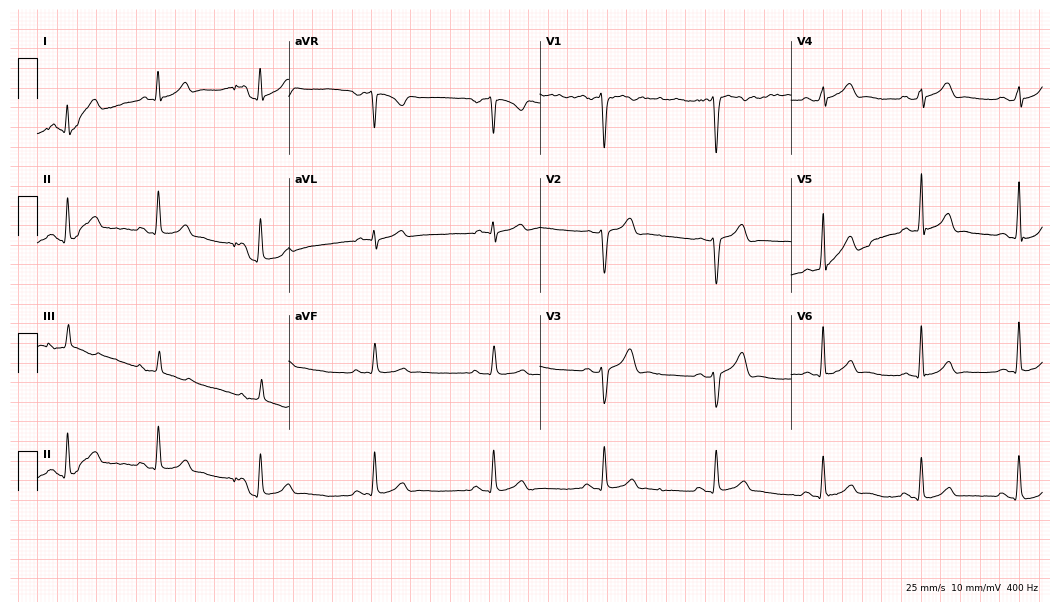
12-lead ECG from a male patient, 35 years old. Labelled as a normal ECG.